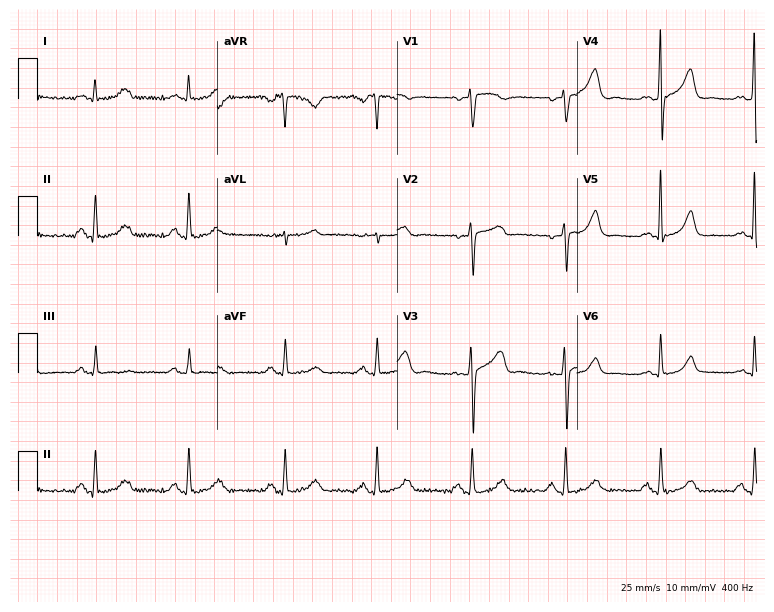
12-lead ECG from a male, 42 years old. No first-degree AV block, right bundle branch block, left bundle branch block, sinus bradycardia, atrial fibrillation or sinus tachycardia recorded for this tracing. Only these six findings were labelled.